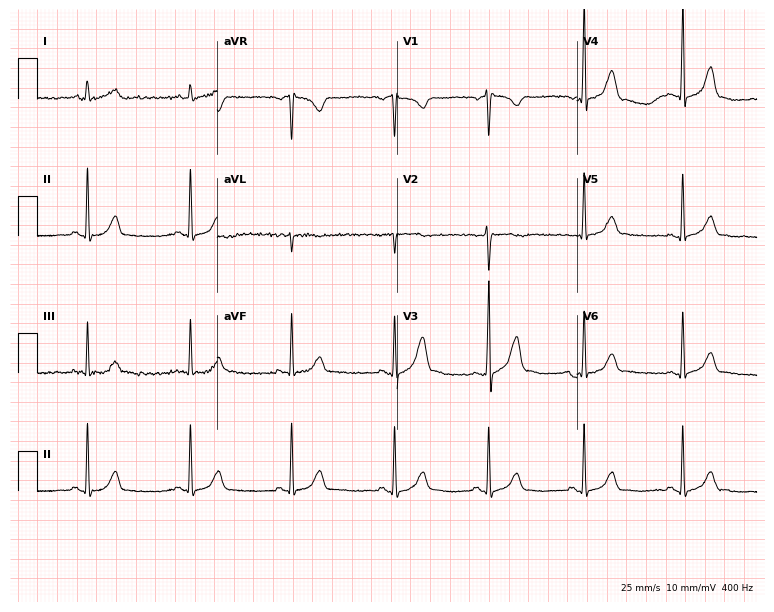
Resting 12-lead electrocardiogram (7.3-second recording at 400 Hz). Patient: a 22-year-old female. Read as a normal ECG.